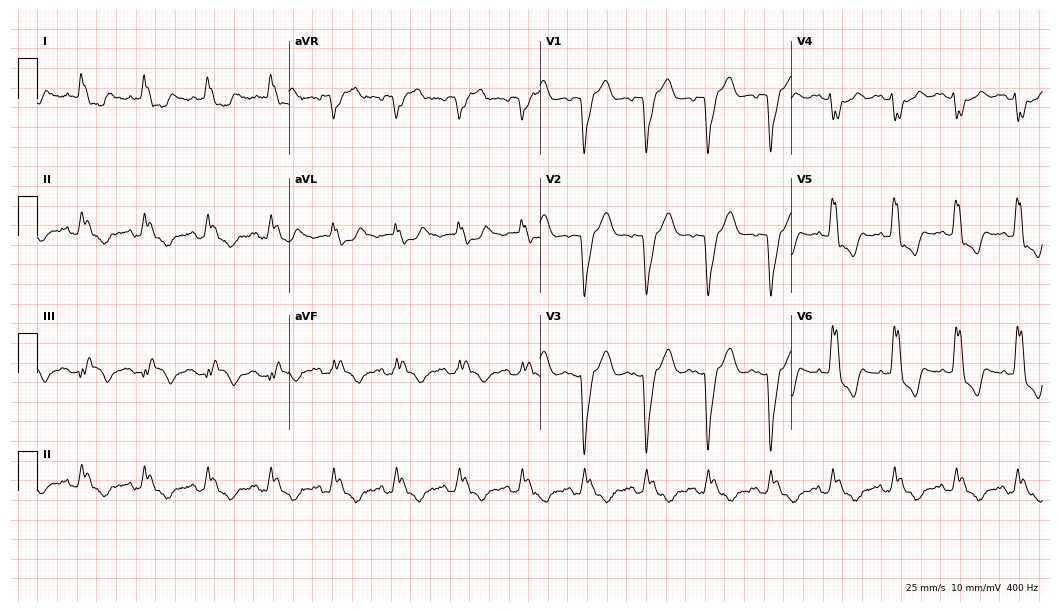
12-lead ECG from a female, 83 years old. Shows left bundle branch block.